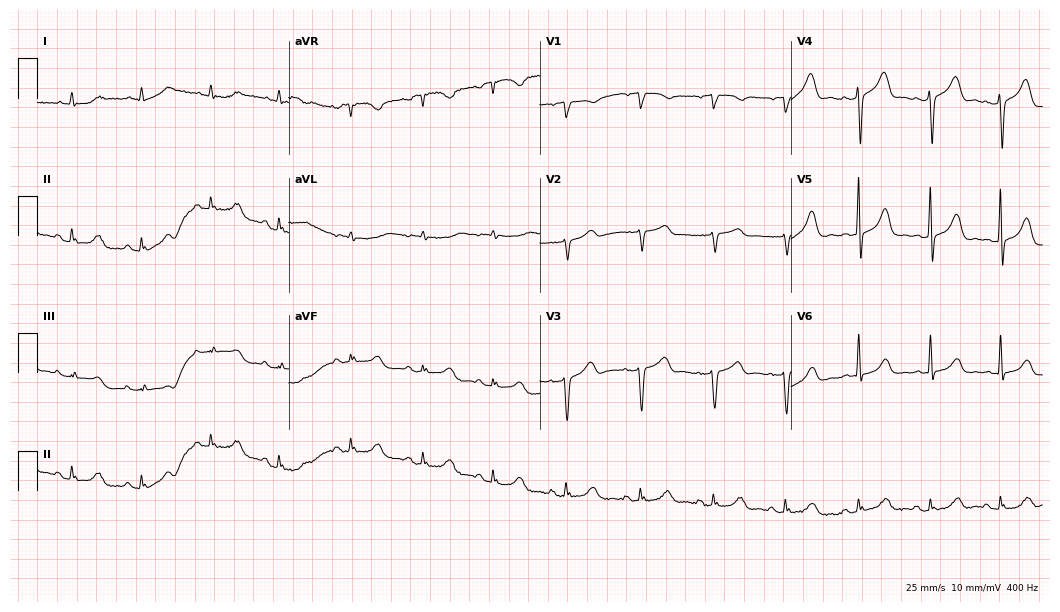
Resting 12-lead electrocardiogram (10.2-second recording at 400 Hz). Patient: a 58-year-old woman. None of these six findings is recorded: first-degree AV block, right bundle branch block (RBBB), left bundle branch block (LBBB), sinus bradycardia, atrial fibrillation (AF), sinus tachycardia. Only these six findings were labelled.